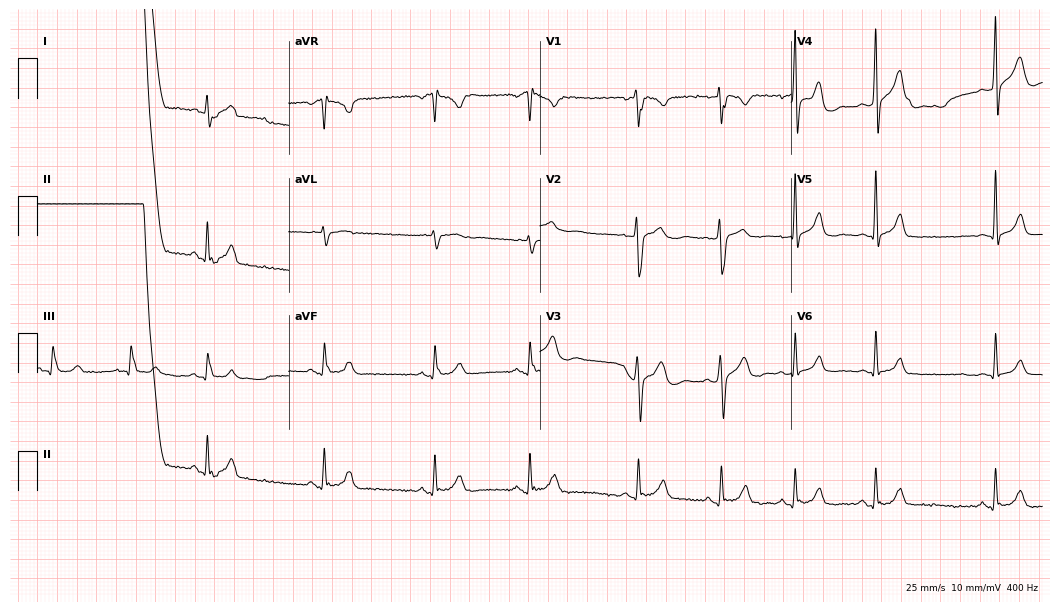
12-lead ECG from a 32-year-old male. No first-degree AV block, right bundle branch block, left bundle branch block, sinus bradycardia, atrial fibrillation or sinus tachycardia recorded for this tracing.